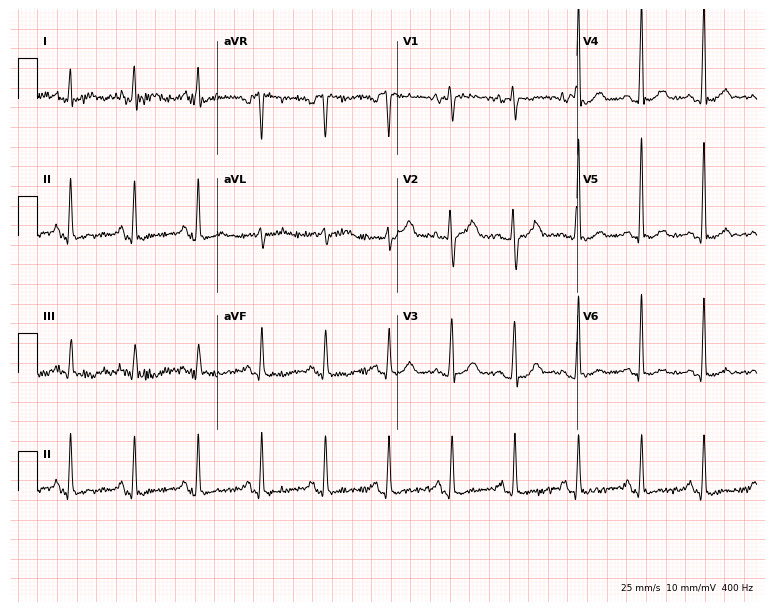
Standard 12-lead ECG recorded from a female patient, 39 years old. Read as a normal ECG.